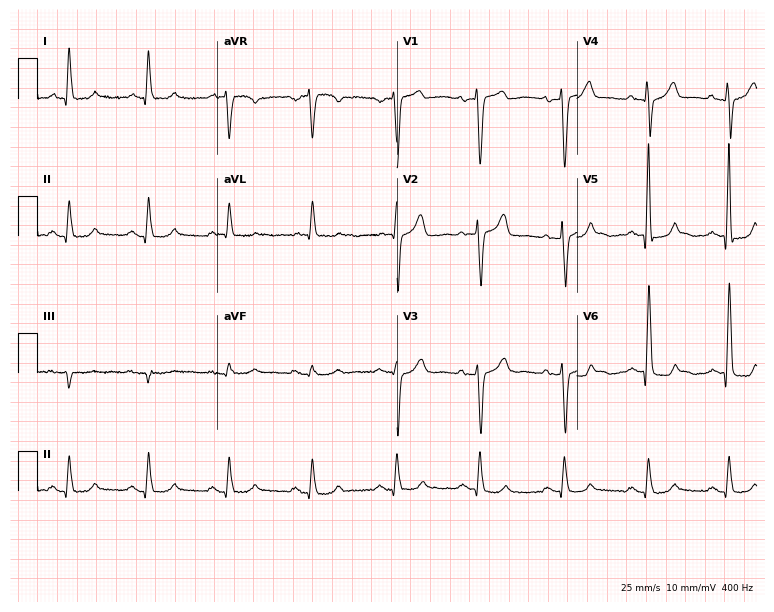
Standard 12-lead ECG recorded from a 58-year-old male patient (7.3-second recording at 400 Hz). None of these six findings is recorded: first-degree AV block, right bundle branch block (RBBB), left bundle branch block (LBBB), sinus bradycardia, atrial fibrillation (AF), sinus tachycardia.